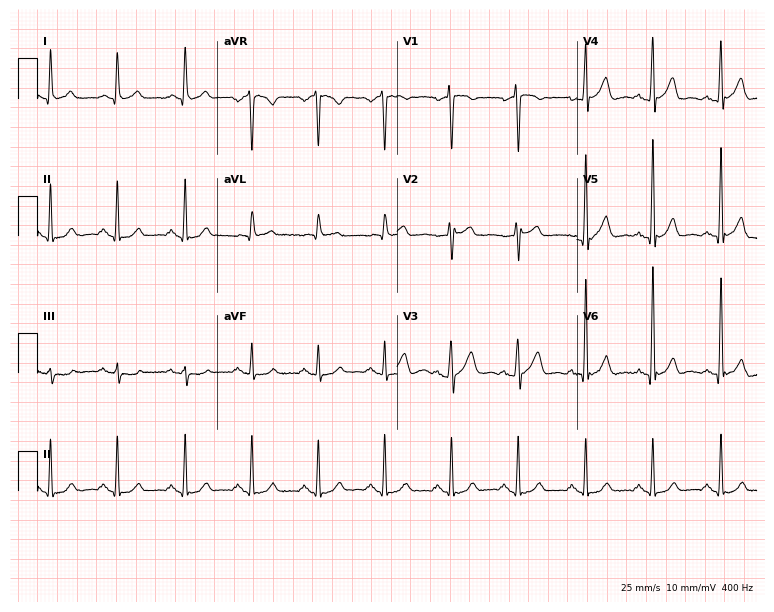
12-lead ECG from a 65-year-old man. No first-degree AV block, right bundle branch block (RBBB), left bundle branch block (LBBB), sinus bradycardia, atrial fibrillation (AF) or sinus tachycardia recorded for this tracing. Other findings, if any, are not listed.